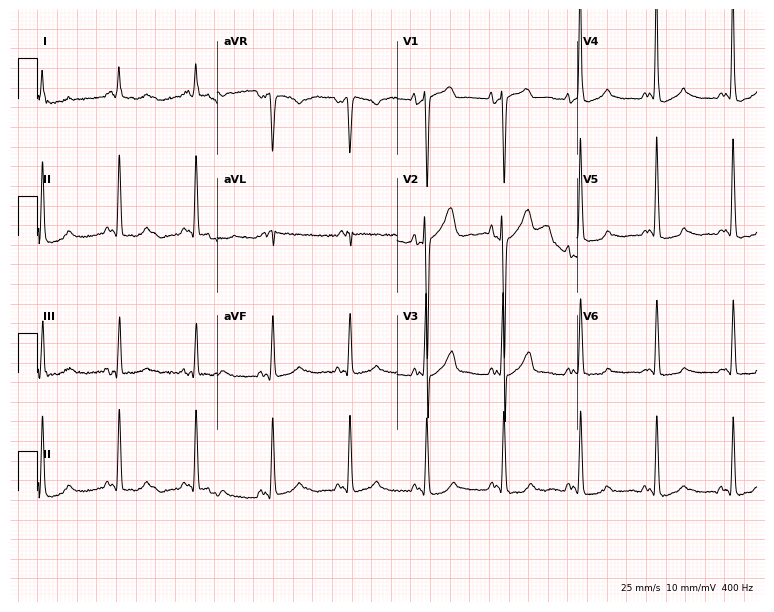
Electrocardiogram (7.3-second recording at 400 Hz), a female patient, 60 years old. Of the six screened findings (first-degree AV block, right bundle branch block (RBBB), left bundle branch block (LBBB), sinus bradycardia, atrial fibrillation (AF), sinus tachycardia), none is recorded. Findings outside these six are not listed.